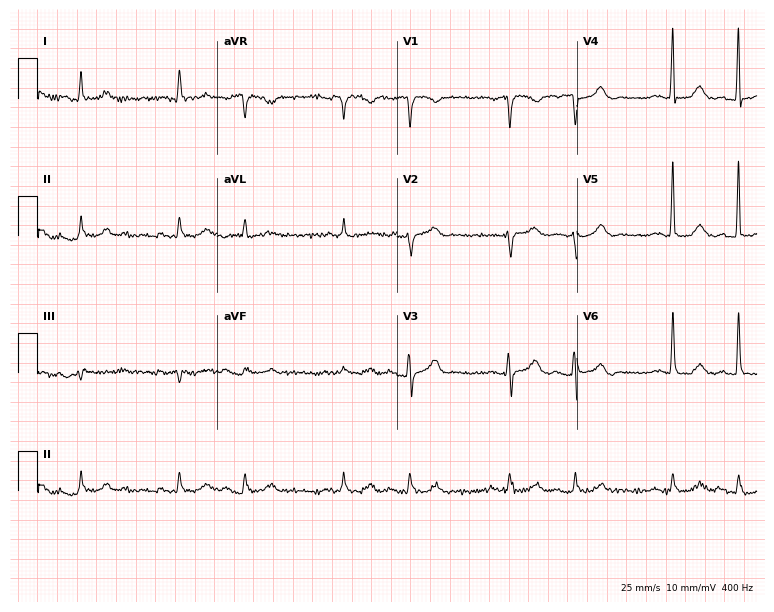
ECG — a man, 72 years old. Screened for six findings — first-degree AV block, right bundle branch block, left bundle branch block, sinus bradycardia, atrial fibrillation, sinus tachycardia — none is recorded. Findings outside these six are not listed.